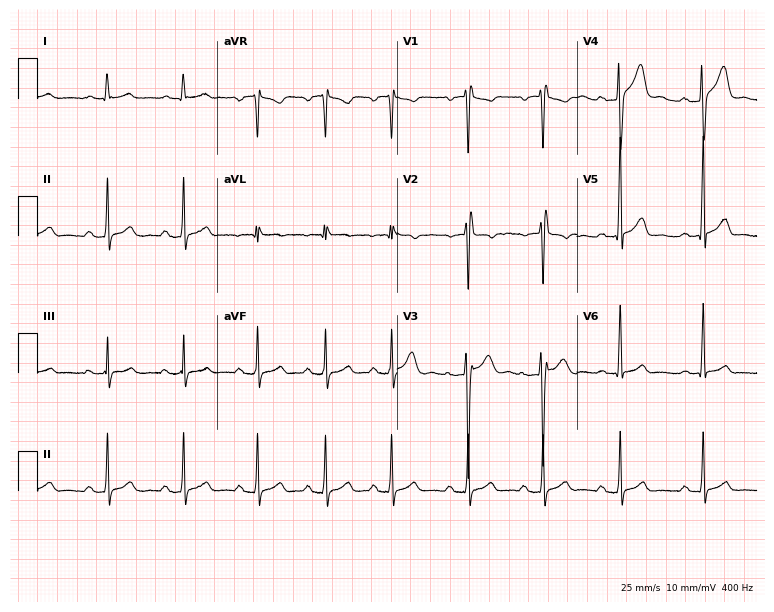
Standard 12-lead ECG recorded from a male patient, 26 years old. None of these six findings is recorded: first-degree AV block, right bundle branch block, left bundle branch block, sinus bradycardia, atrial fibrillation, sinus tachycardia. Other findings, if any, are not listed.